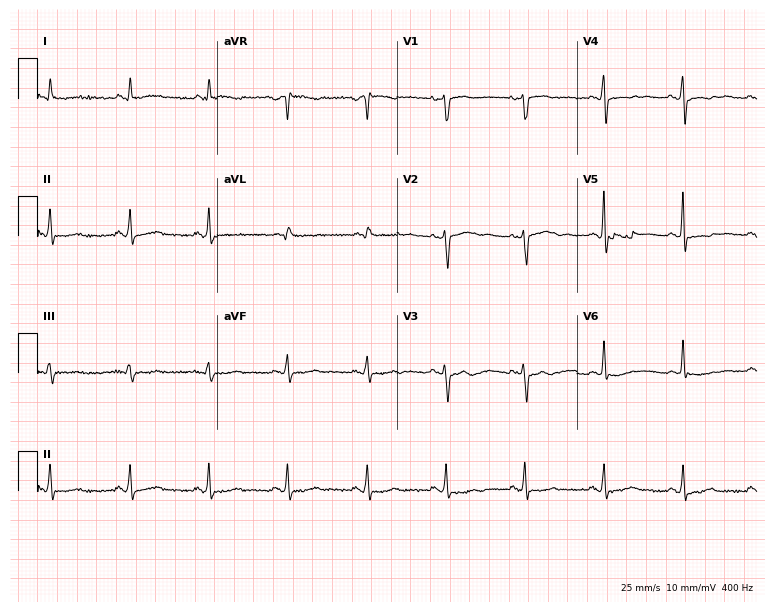
Resting 12-lead electrocardiogram (7.3-second recording at 400 Hz). Patient: a female, 61 years old. None of these six findings is recorded: first-degree AV block, right bundle branch block (RBBB), left bundle branch block (LBBB), sinus bradycardia, atrial fibrillation (AF), sinus tachycardia.